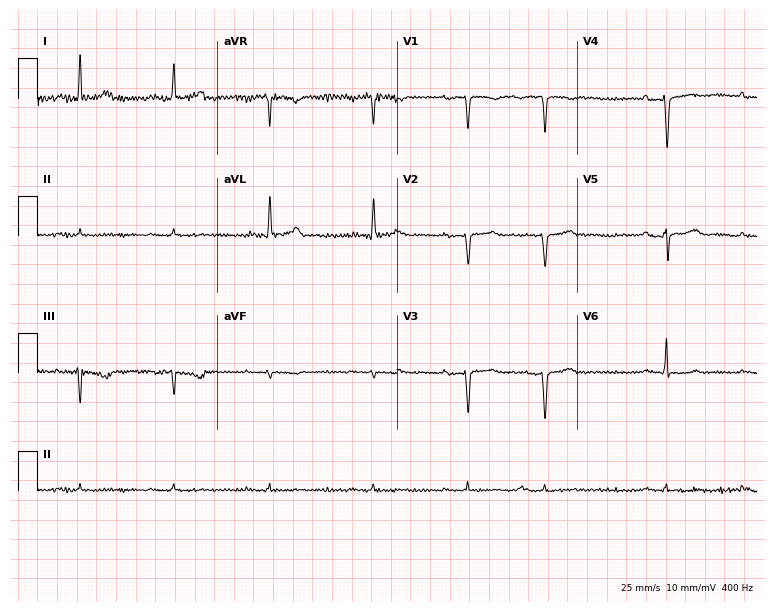
Resting 12-lead electrocardiogram (7.3-second recording at 400 Hz). Patient: a woman, 75 years old. None of these six findings is recorded: first-degree AV block, right bundle branch block, left bundle branch block, sinus bradycardia, atrial fibrillation, sinus tachycardia. Other findings, if any, are not listed.